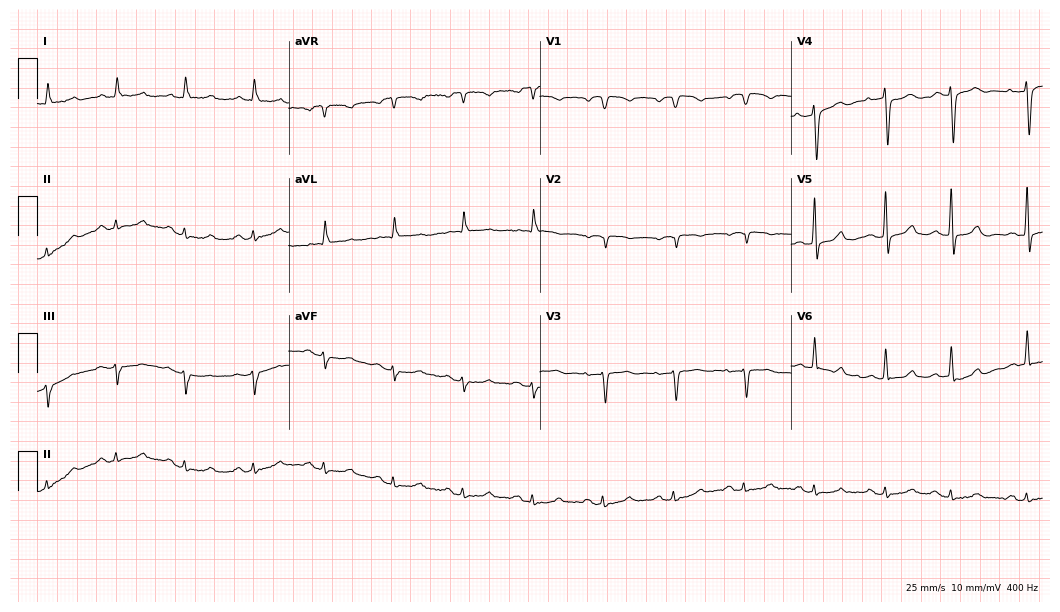
ECG — an 87-year-old man. Screened for six findings — first-degree AV block, right bundle branch block, left bundle branch block, sinus bradycardia, atrial fibrillation, sinus tachycardia — none is recorded. Other findings, if any, are not listed.